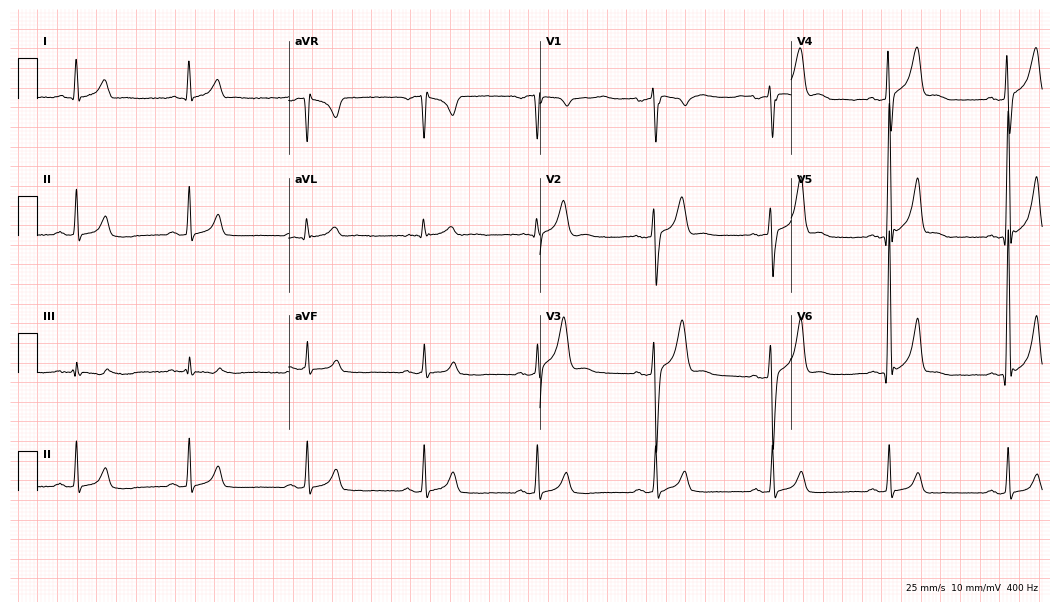
12-lead ECG from a male patient, 47 years old. Recorded interpretation: within normal limits.